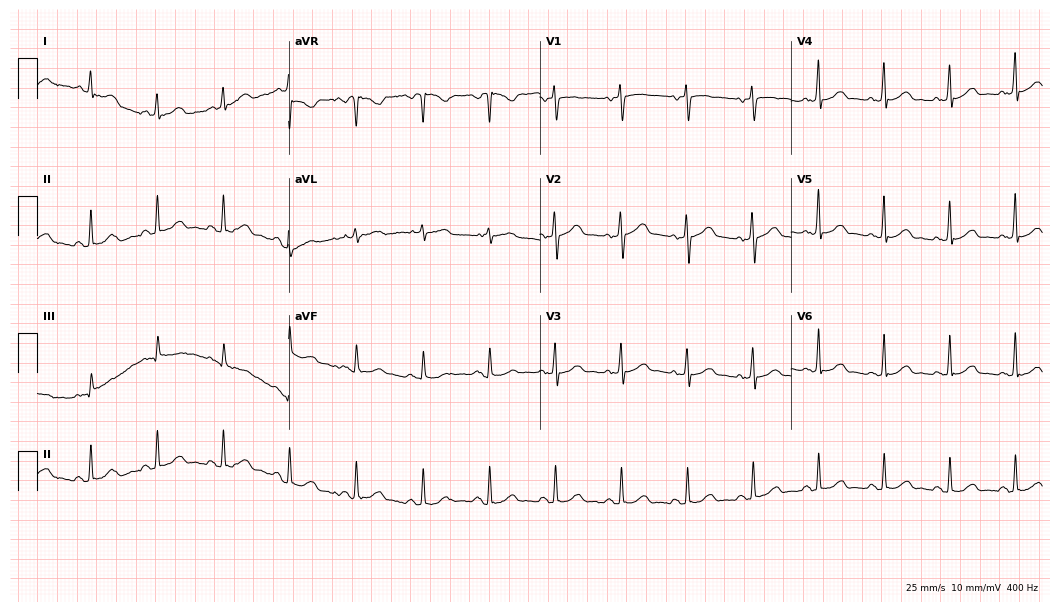
Electrocardiogram, a male patient, 56 years old. Of the six screened findings (first-degree AV block, right bundle branch block (RBBB), left bundle branch block (LBBB), sinus bradycardia, atrial fibrillation (AF), sinus tachycardia), none is recorded.